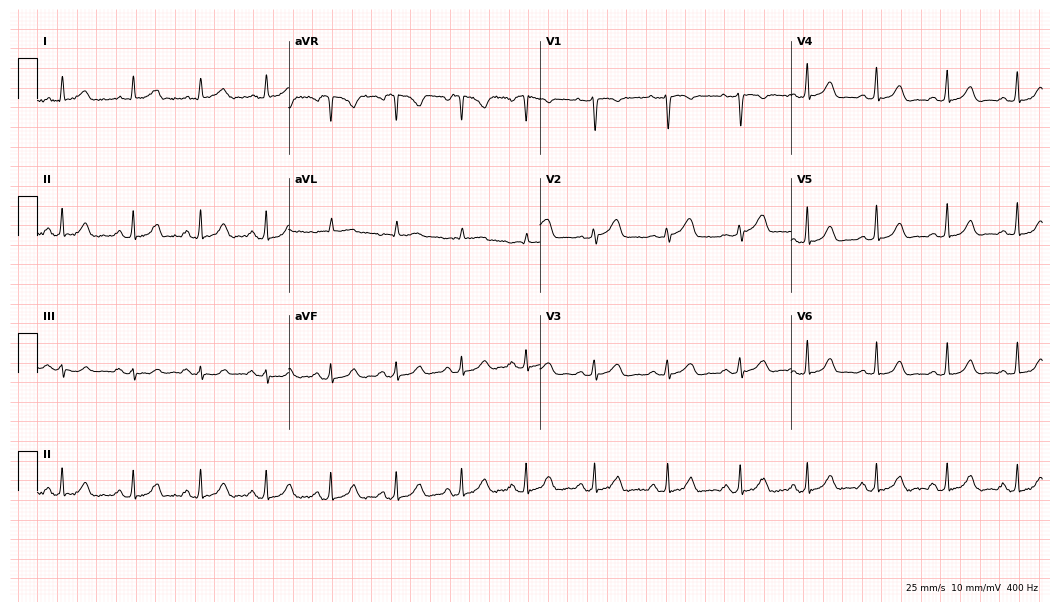
12-lead ECG from a 39-year-old woman. Recorded interpretation: within normal limits.